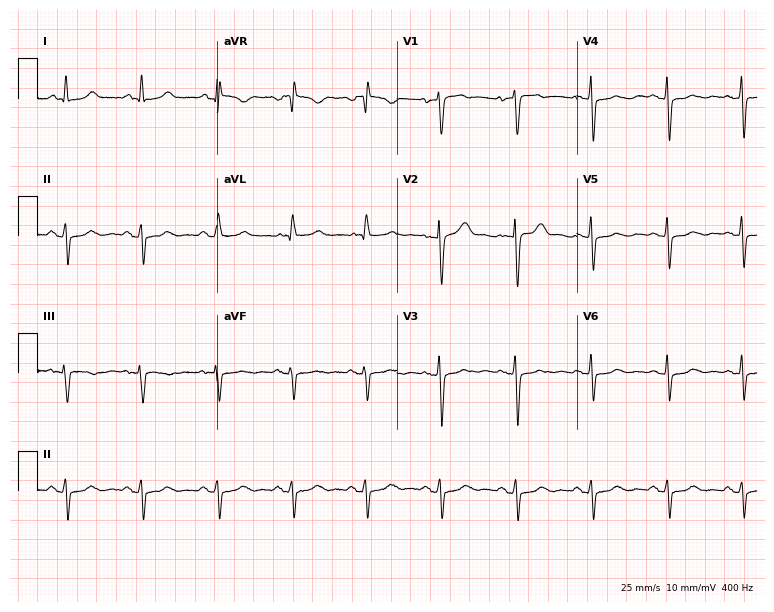
ECG — a female, 73 years old. Screened for six findings — first-degree AV block, right bundle branch block, left bundle branch block, sinus bradycardia, atrial fibrillation, sinus tachycardia — none is recorded. Findings outside these six are not listed.